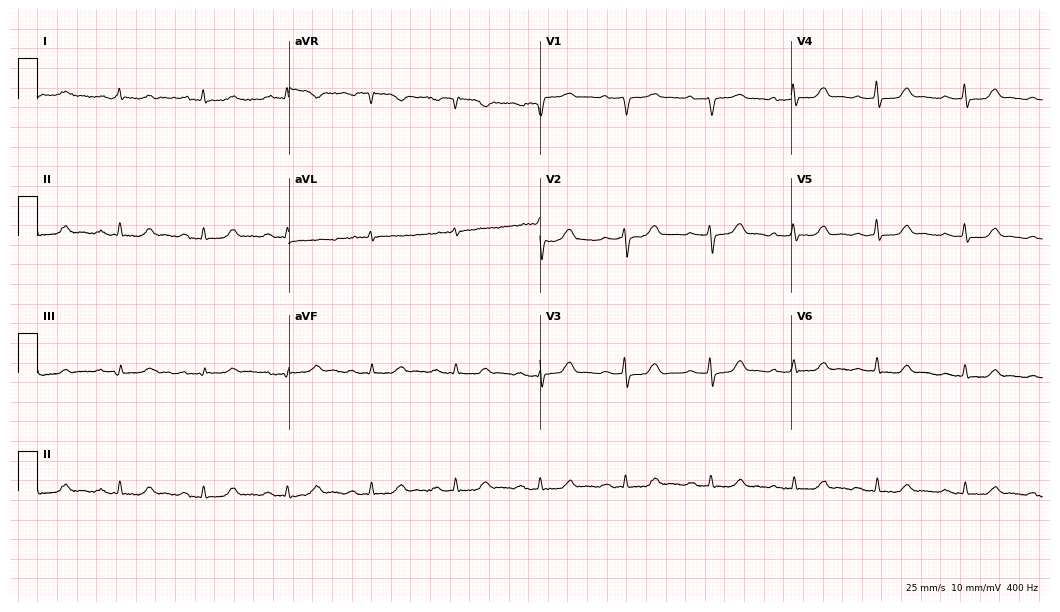
12-lead ECG from a 63-year-old male (10.2-second recording at 400 Hz). No first-degree AV block, right bundle branch block, left bundle branch block, sinus bradycardia, atrial fibrillation or sinus tachycardia recorded for this tracing.